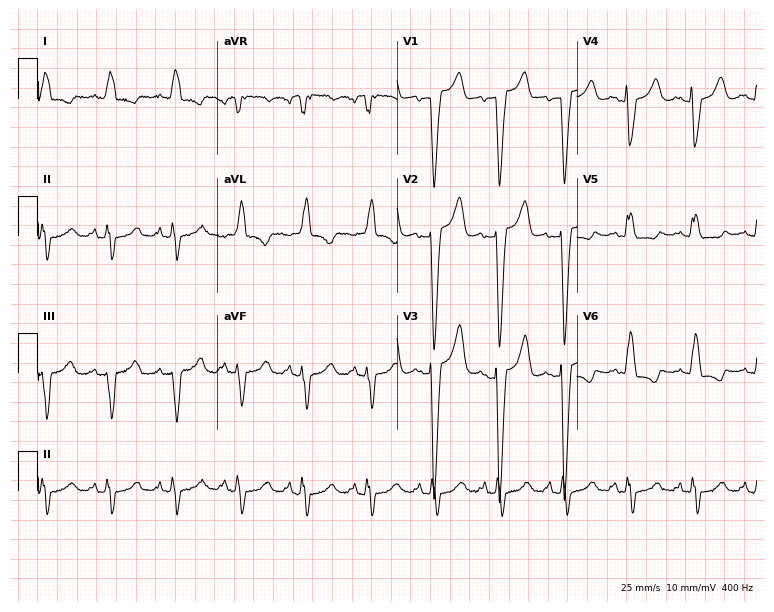
Resting 12-lead electrocardiogram (7.3-second recording at 400 Hz). Patient: a female, 73 years old. The tracing shows left bundle branch block.